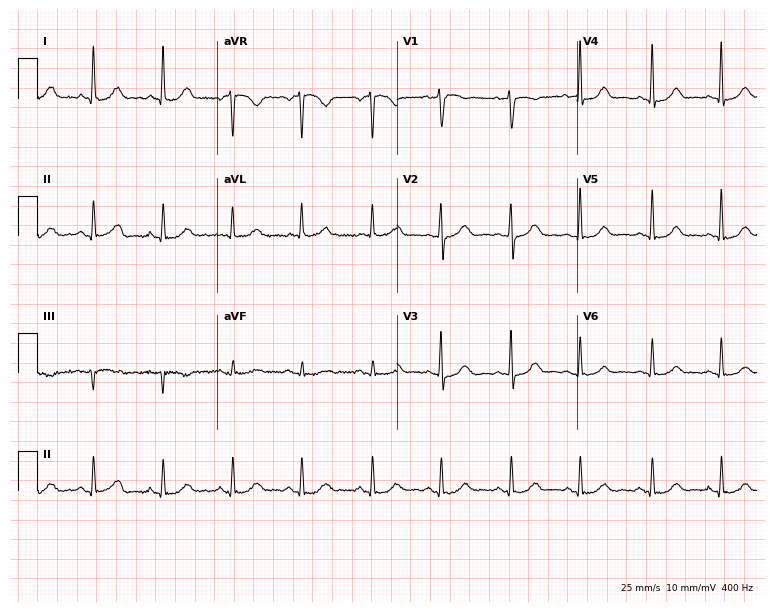
12-lead ECG from a 59-year-old female (7.3-second recording at 400 Hz). Recorded interpretation: within normal limits.